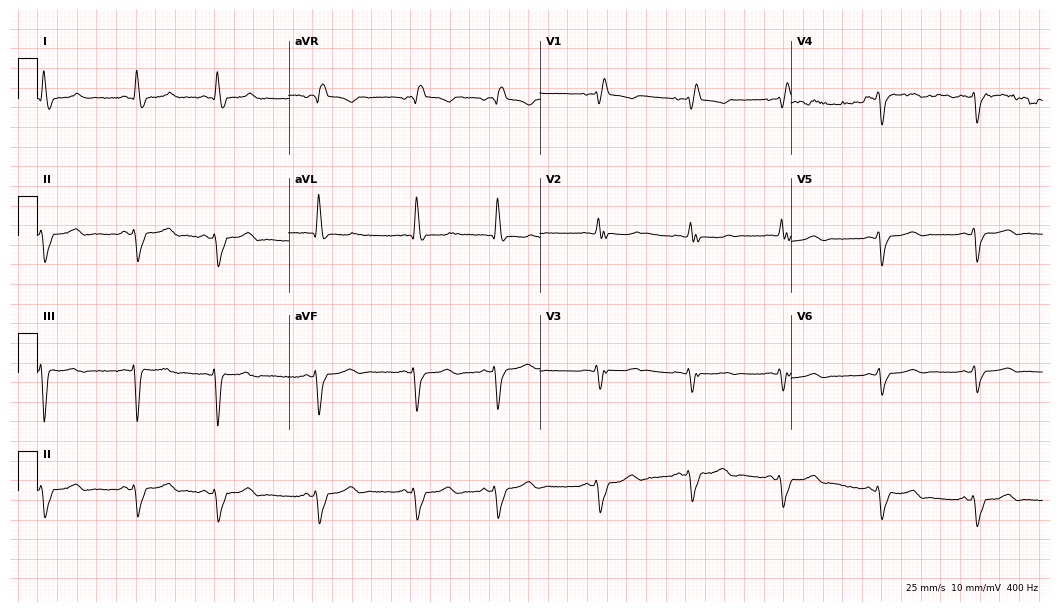
12-lead ECG (10.2-second recording at 400 Hz) from a 60-year-old female. Findings include right bundle branch block.